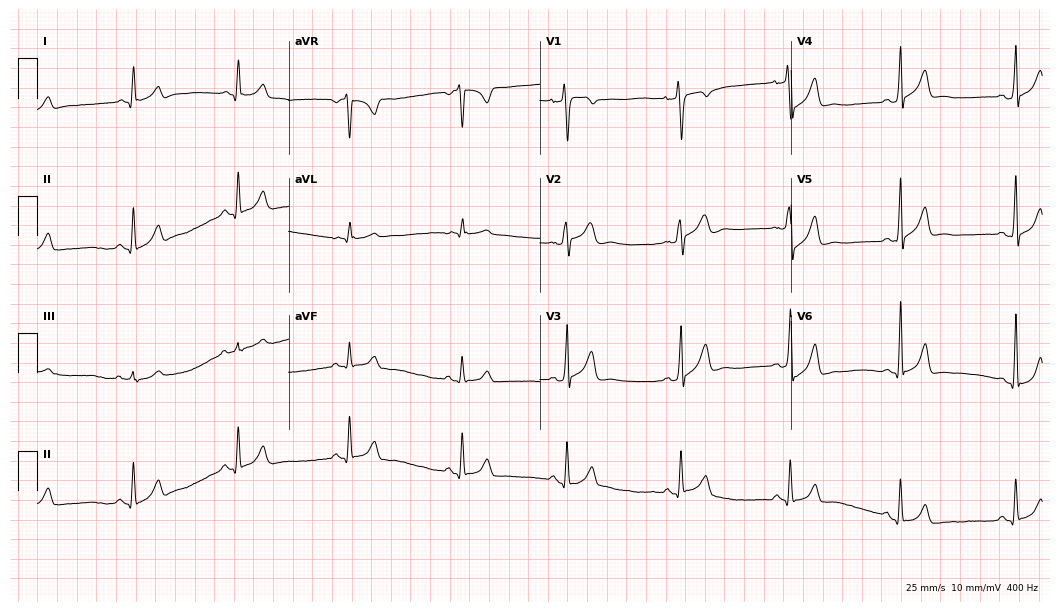
Electrocardiogram (10.2-second recording at 400 Hz), a 38-year-old male patient. Overall reading on record: normal ECG.